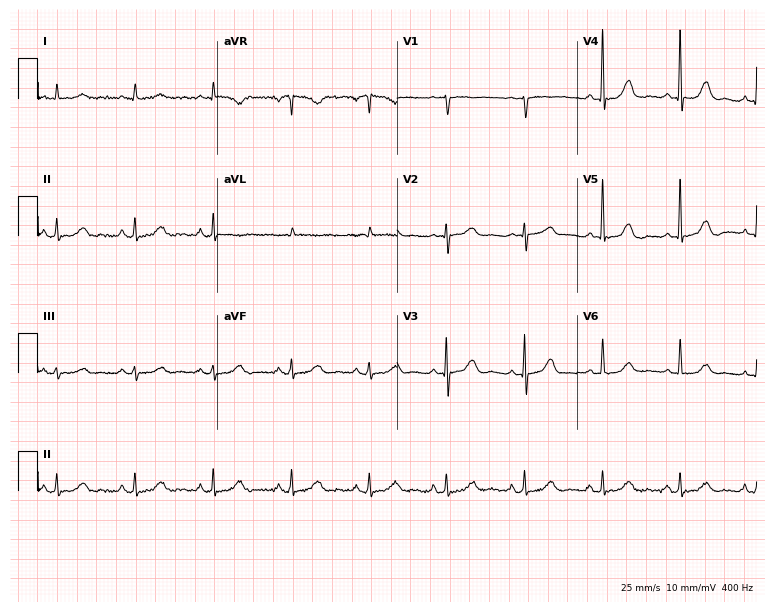
Resting 12-lead electrocardiogram (7.3-second recording at 400 Hz). Patient: an 85-year-old female. Read as a normal ECG.